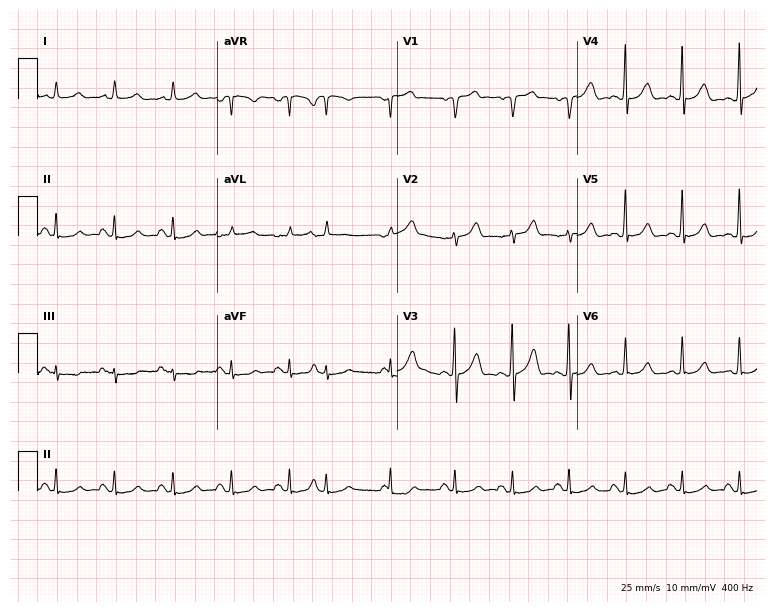
ECG — a 69-year-old male patient. Screened for six findings — first-degree AV block, right bundle branch block, left bundle branch block, sinus bradycardia, atrial fibrillation, sinus tachycardia — none is recorded. Findings outside these six are not listed.